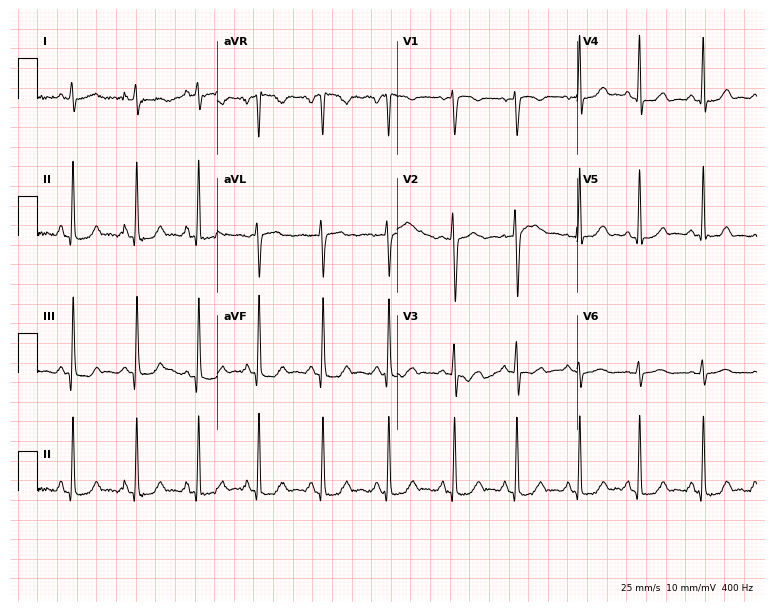
Standard 12-lead ECG recorded from a female, 43 years old. Read as a normal ECG.